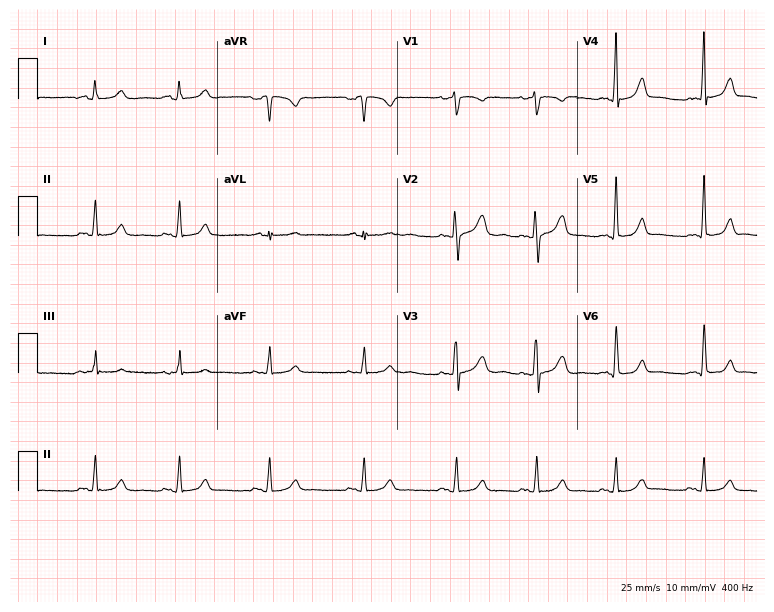
12-lead ECG from a 26-year-old woman. Recorded interpretation: within normal limits.